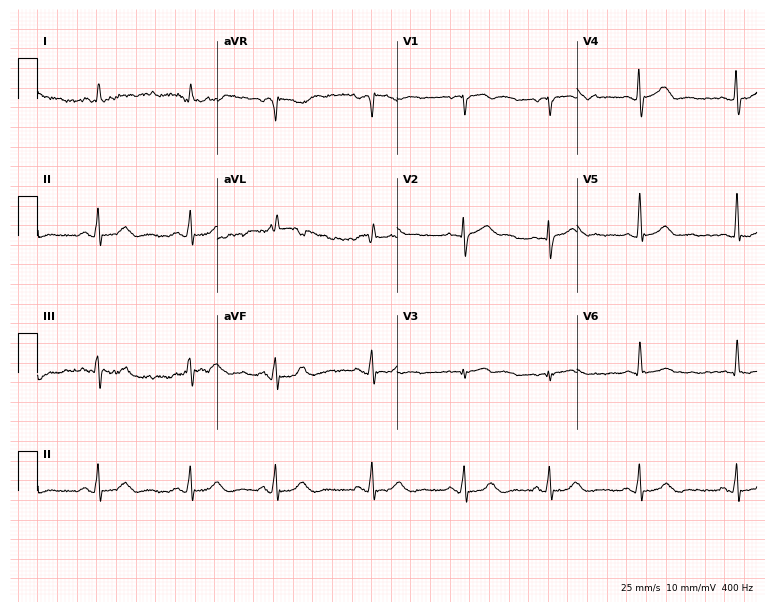
ECG (7.3-second recording at 400 Hz) — a male, 80 years old. Labelled as a normal ECG.